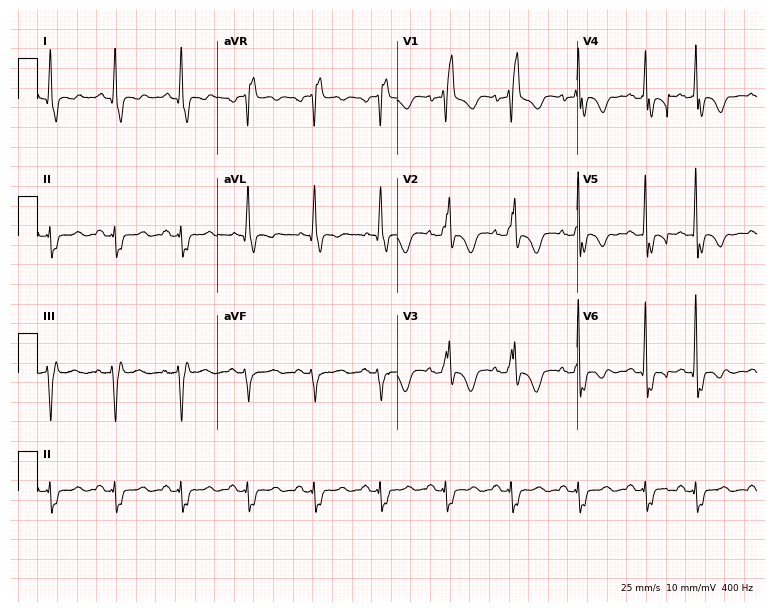
Electrocardiogram (7.3-second recording at 400 Hz), a 49-year-old male patient. Interpretation includes right bundle branch block.